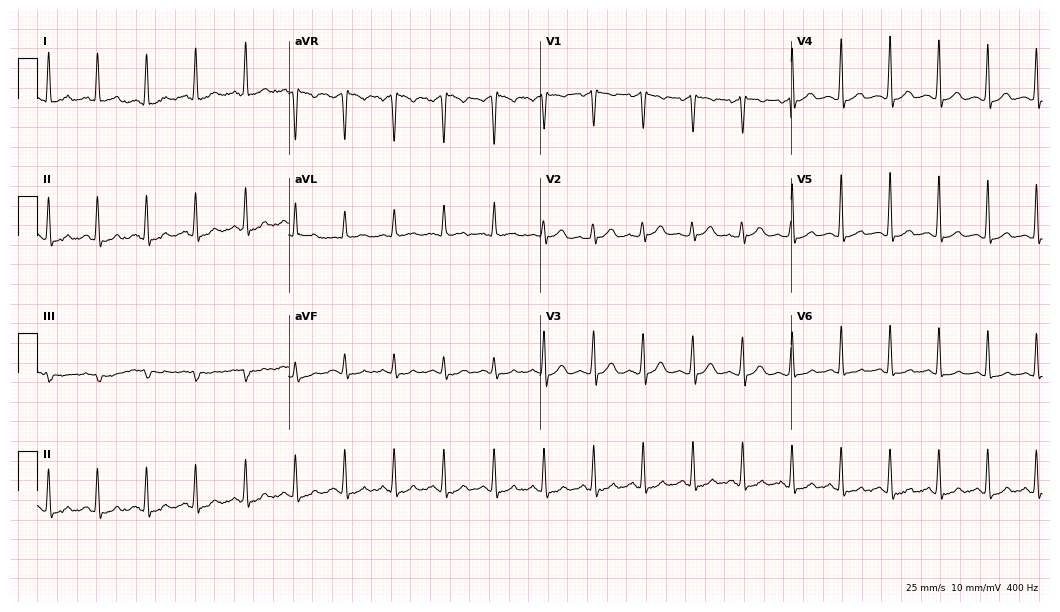
ECG — a female, 32 years old. Findings include sinus tachycardia (a sinus rate of 100 beats per minute or more).